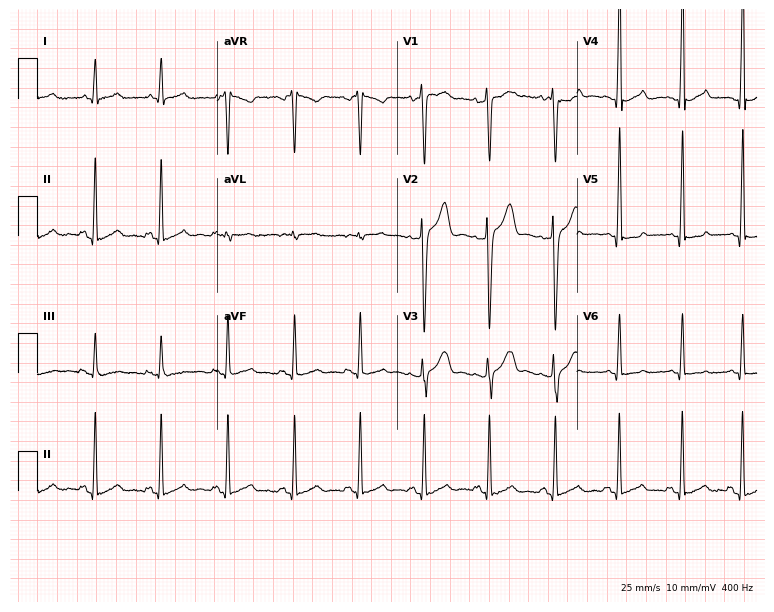
Electrocardiogram, a male patient, 19 years old. Of the six screened findings (first-degree AV block, right bundle branch block, left bundle branch block, sinus bradycardia, atrial fibrillation, sinus tachycardia), none is recorded. Findings outside these six are not listed.